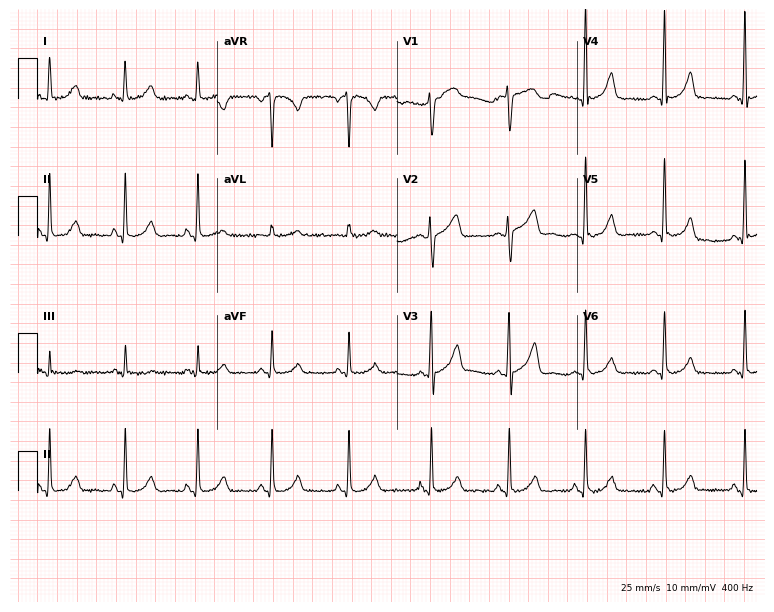
ECG — a female patient, 46 years old. Labelled as a normal ECG.